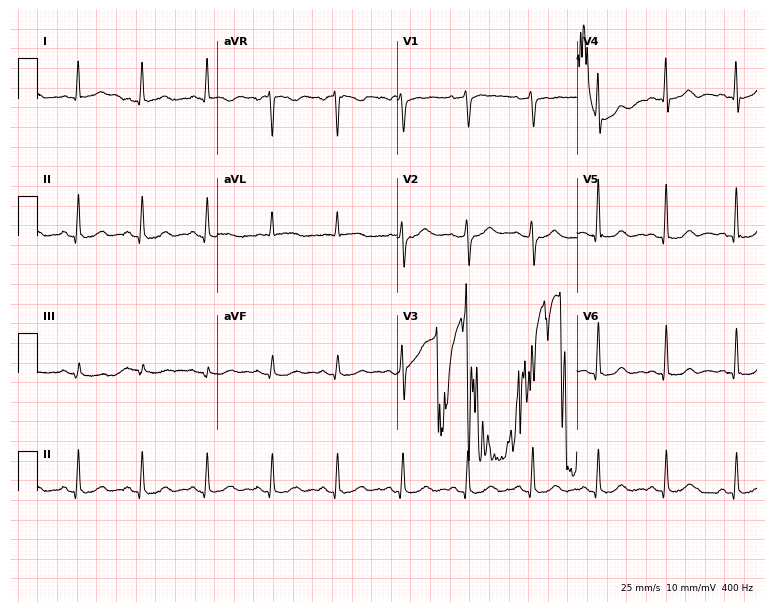
Standard 12-lead ECG recorded from a male, 69 years old (7.3-second recording at 400 Hz). None of these six findings is recorded: first-degree AV block, right bundle branch block, left bundle branch block, sinus bradycardia, atrial fibrillation, sinus tachycardia.